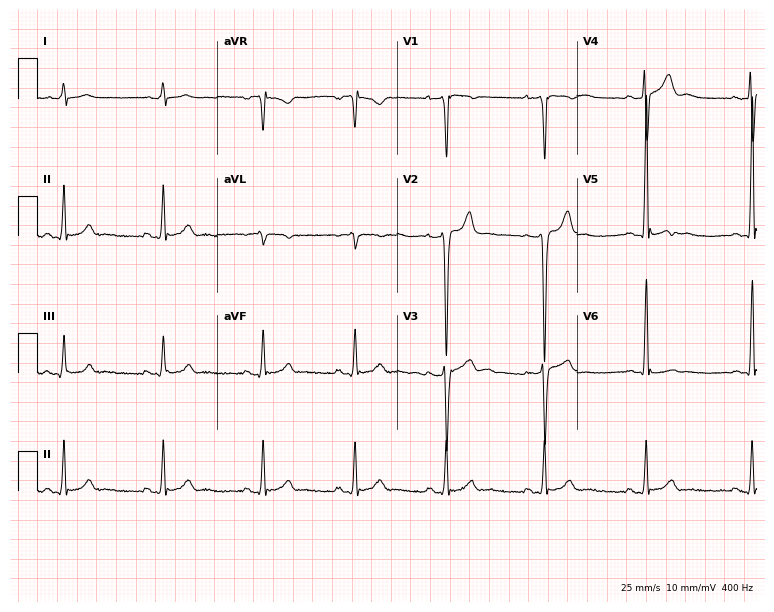
Standard 12-lead ECG recorded from a 21-year-old man (7.3-second recording at 400 Hz). Read as a normal ECG.